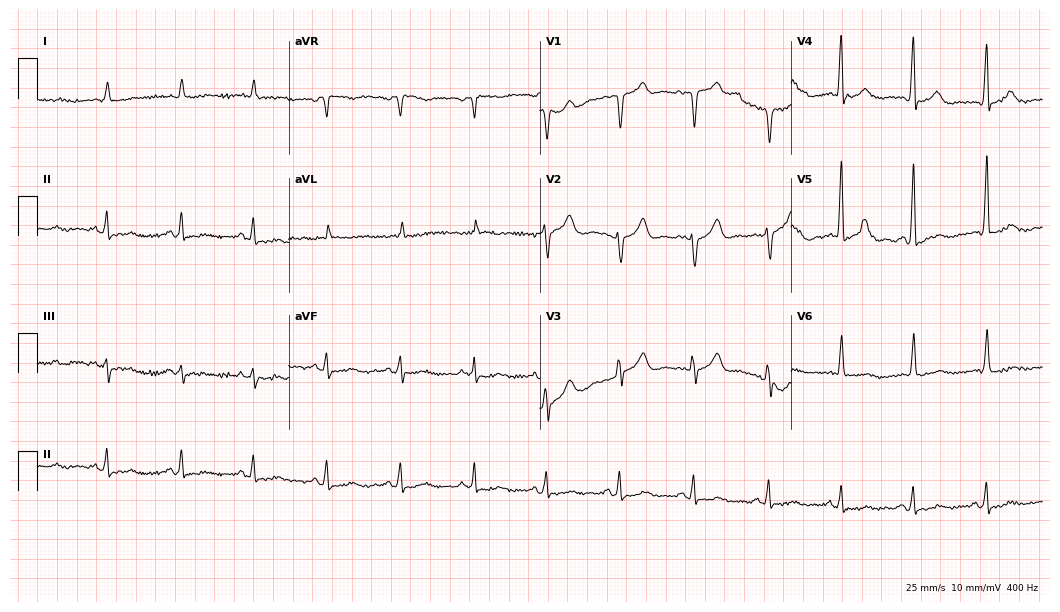
12-lead ECG (10.2-second recording at 400 Hz) from a 78-year-old male patient. Screened for six findings — first-degree AV block, right bundle branch block (RBBB), left bundle branch block (LBBB), sinus bradycardia, atrial fibrillation (AF), sinus tachycardia — none is recorded. Only these six findings were labelled.